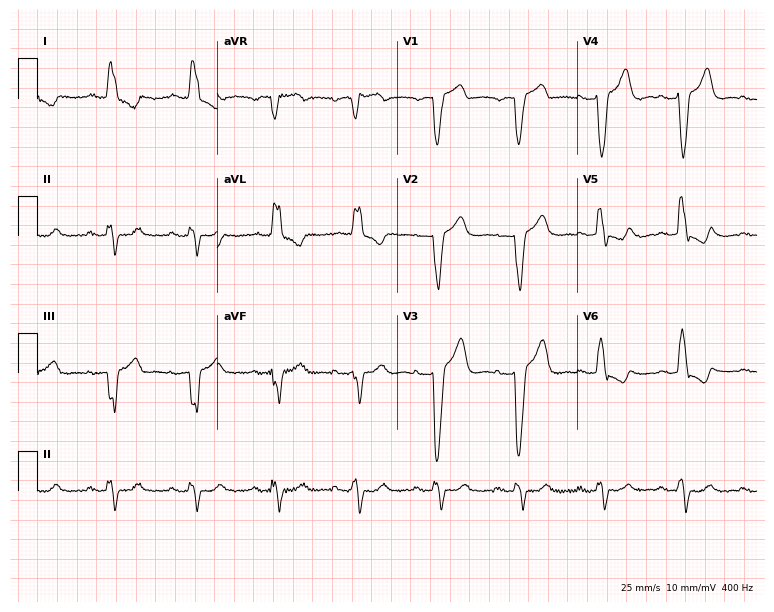
12-lead ECG from a female patient, 84 years old. Findings include left bundle branch block (LBBB).